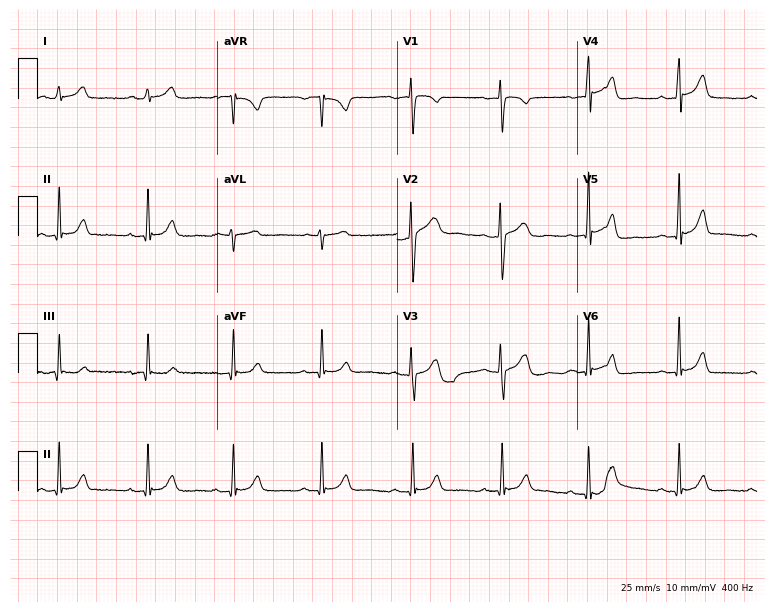
Electrocardiogram, a 35-year-old woman. Overall reading on record: normal ECG.